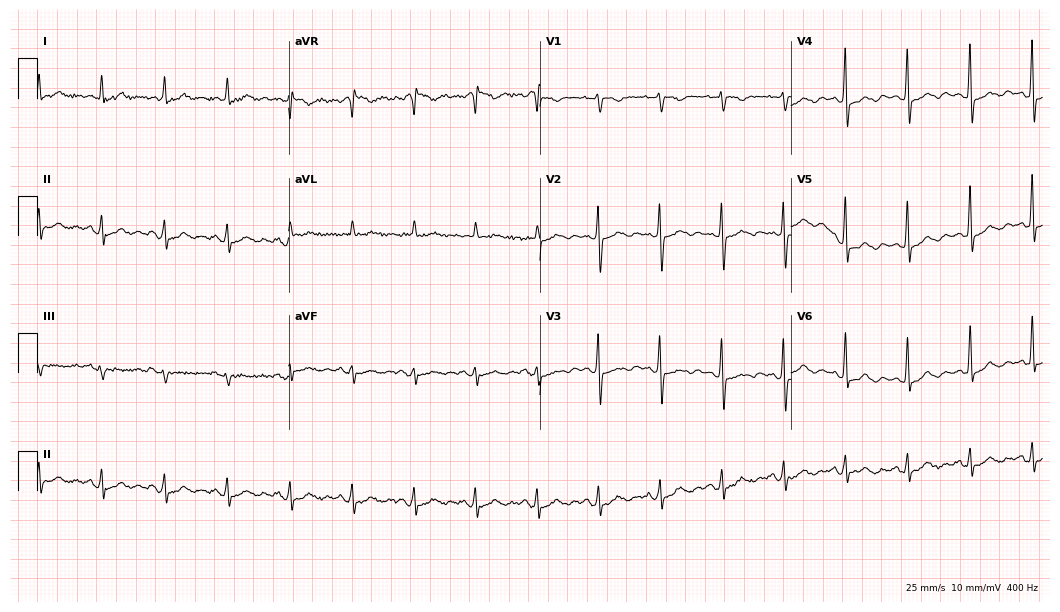
ECG — a woman, 72 years old. Screened for six findings — first-degree AV block, right bundle branch block, left bundle branch block, sinus bradycardia, atrial fibrillation, sinus tachycardia — none is recorded.